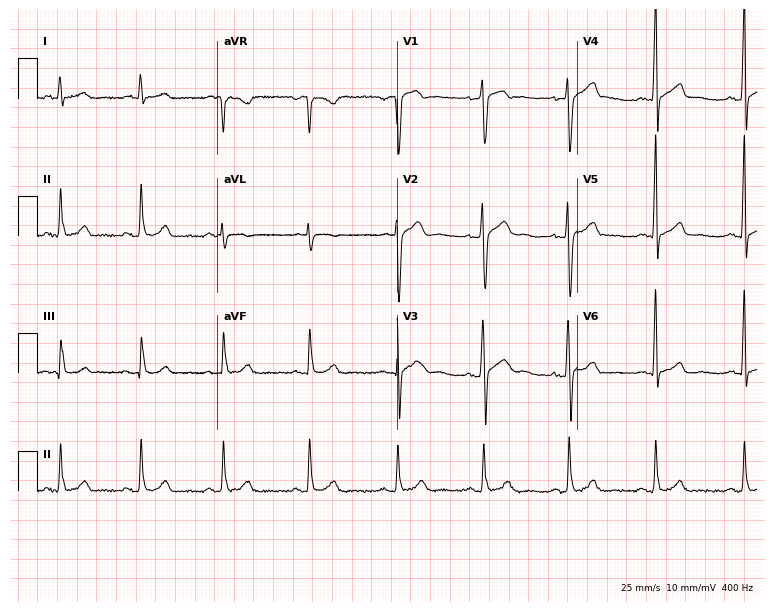
ECG — a man, 28 years old. Screened for six findings — first-degree AV block, right bundle branch block, left bundle branch block, sinus bradycardia, atrial fibrillation, sinus tachycardia — none is recorded. Only these six findings were labelled.